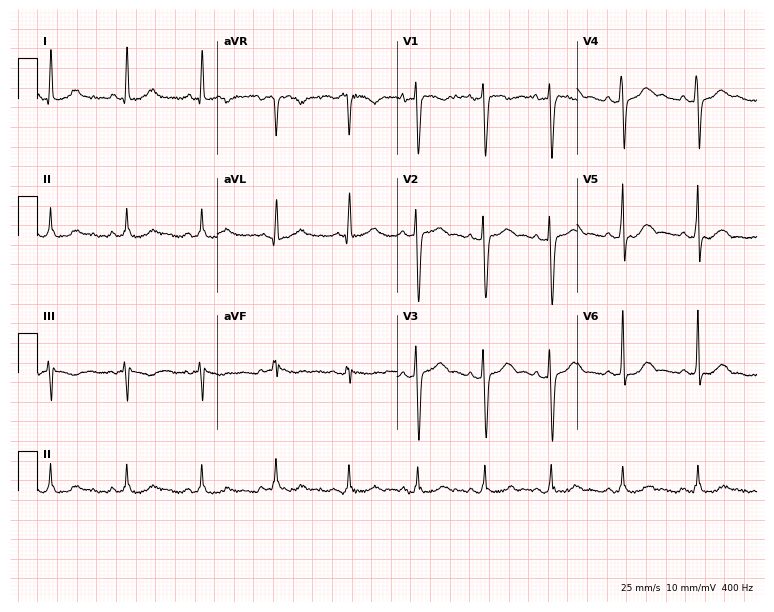
Resting 12-lead electrocardiogram (7.3-second recording at 400 Hz). Patient: a woman, 27 years old. Read as a normal ECG.